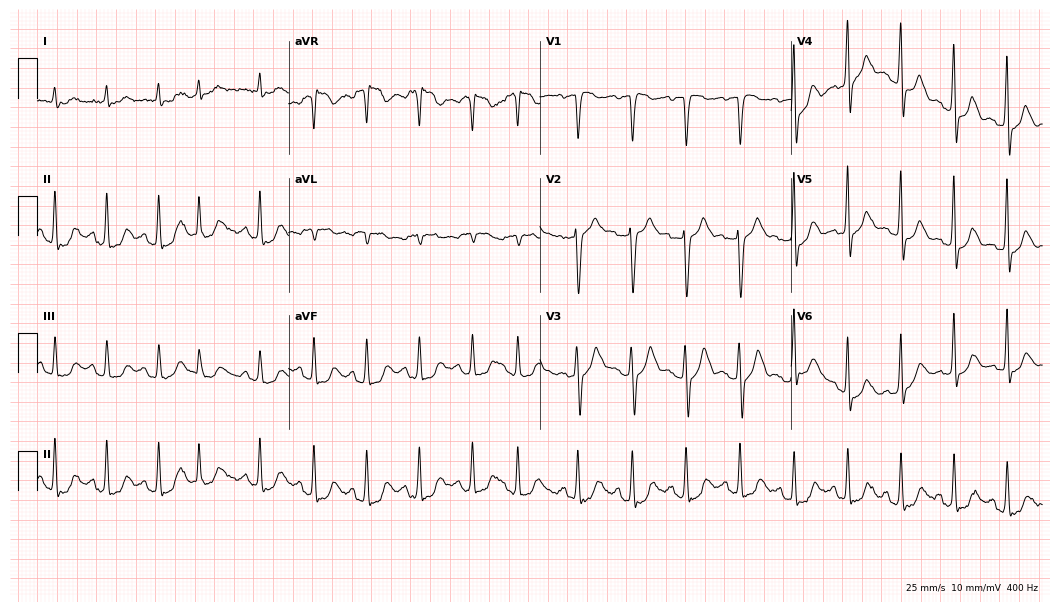
ECG — a man, 63 years old. Findings include sinus tachycardia (a sinus rate of 100 beats per minute or more).